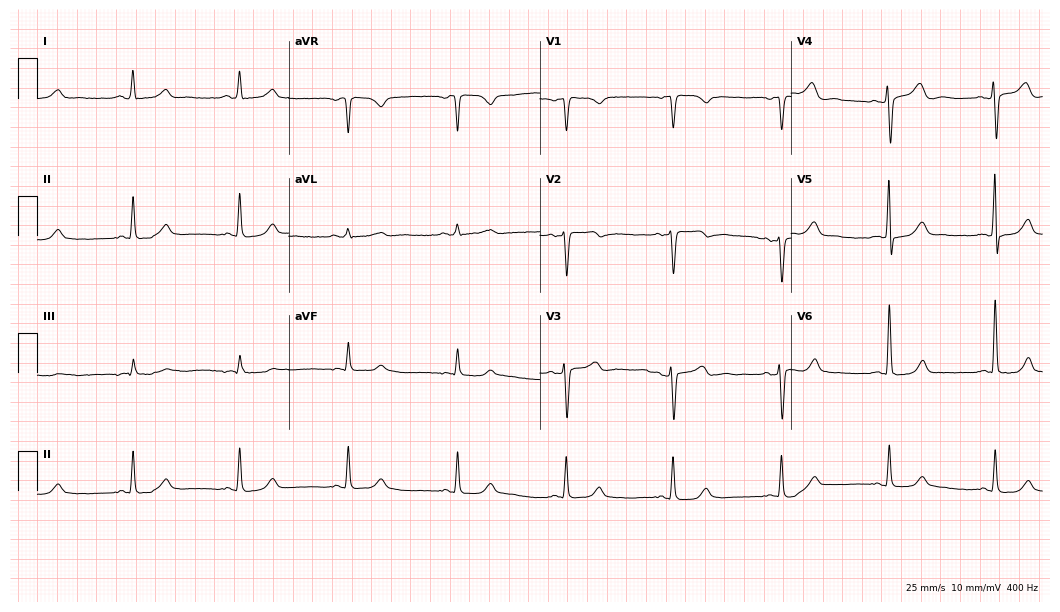
Resting 12-lead electrocardiogram (10.2-second recording at 400 Hz). Patient: a 57-year-old woman. Read as a normal ECG.